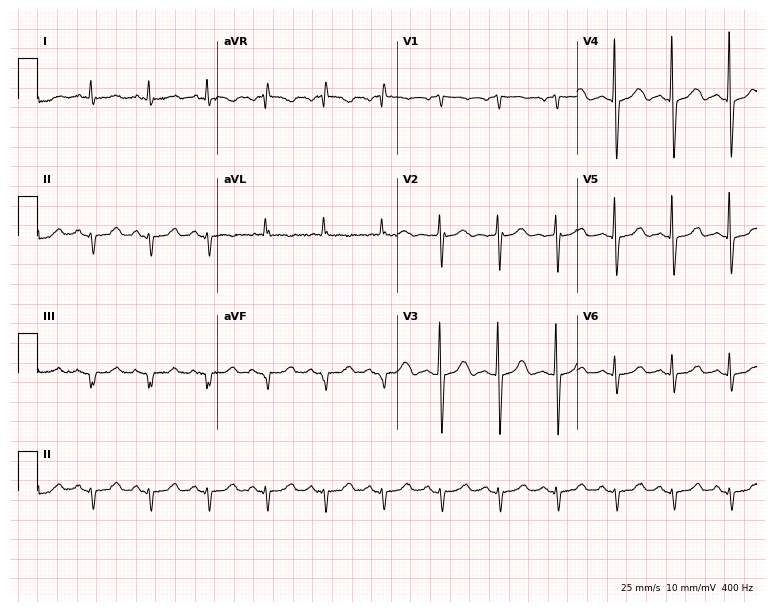
Standard 12-lead ECG recorded from a female, 83 years old (7.3-second recording at 400 Hz). None of these six findings is recorded: first-degree AV block, right bundle branch block, left bundle branch block, sinus bradycardia, atrial fibrillation, sinus tachycardia.